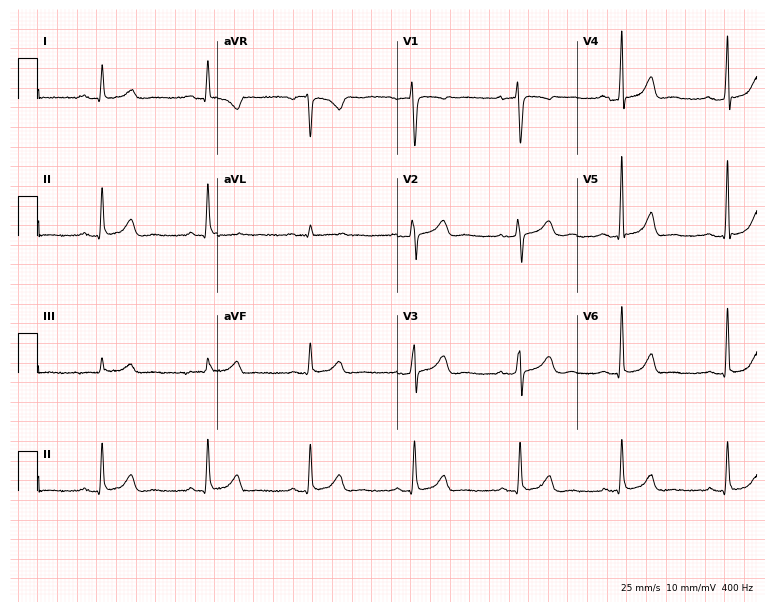
ECG — a 41-year-old female patient. Labelled as a normal ECG.